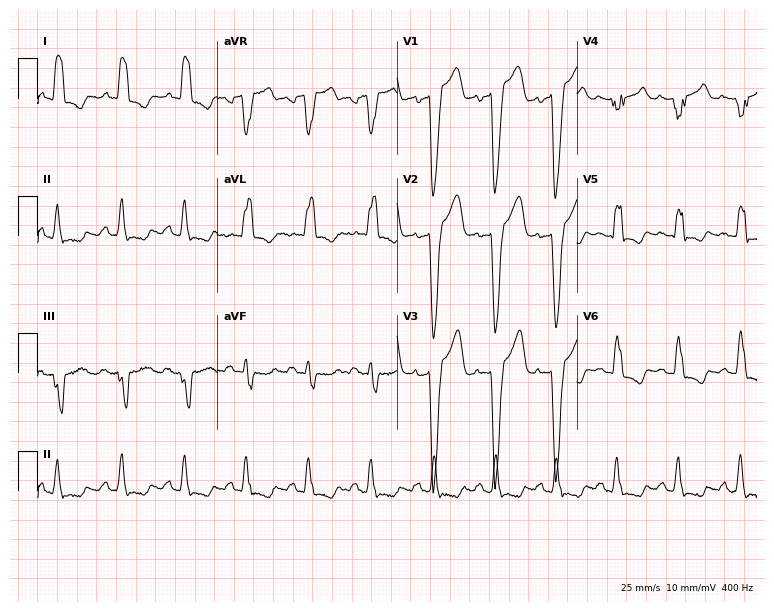
12-lead ECG (7.3-second recording at 400 Hz) from a woman, 62 years old. Screened for six findings — first-degree AV block, right bundle branch block, left bundle branch block, sinus bradycardia, atrial fibrillation, sinus tachycardia — none is recorded.